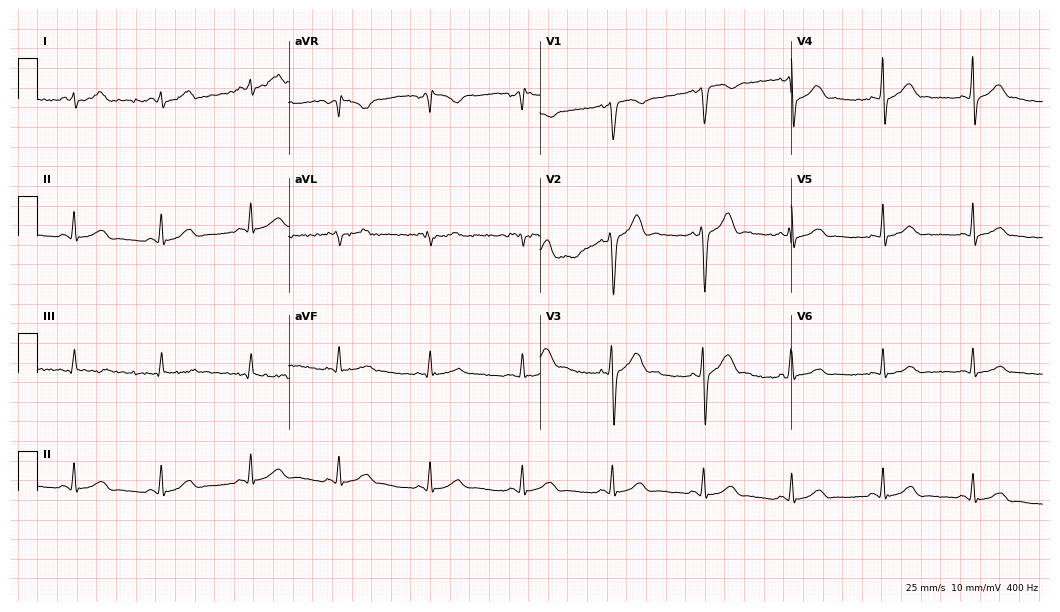
12-lead ECG from a male patient, 25 years old (10.2-second recording at 400 Hz). Recorded interpretation: within normal limits.